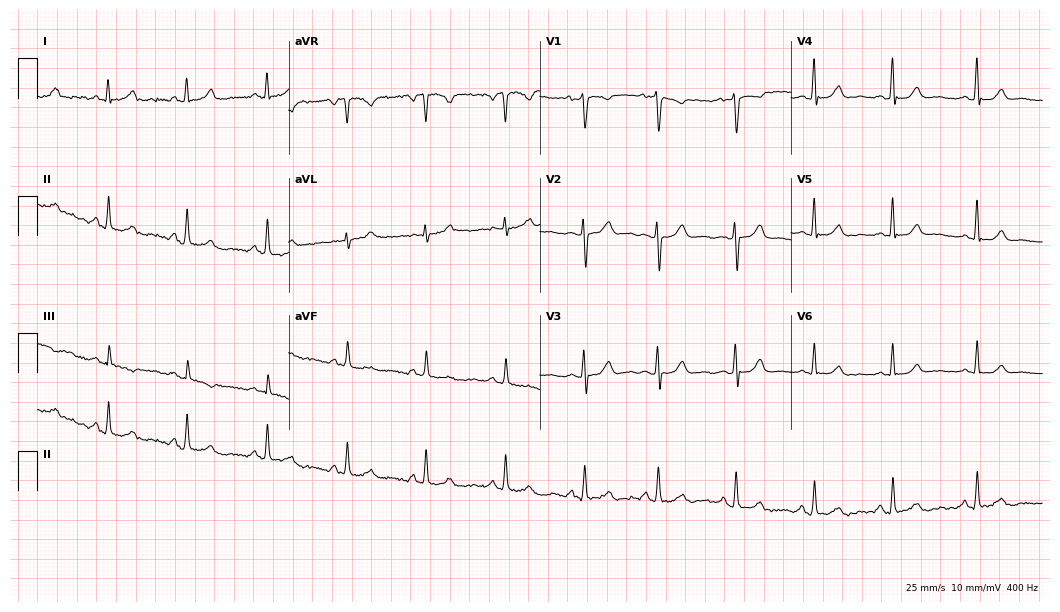
ECG (10.2-second recording at 400 Hz) — a female patient, 53 years old. Labelled as a normal ECG.